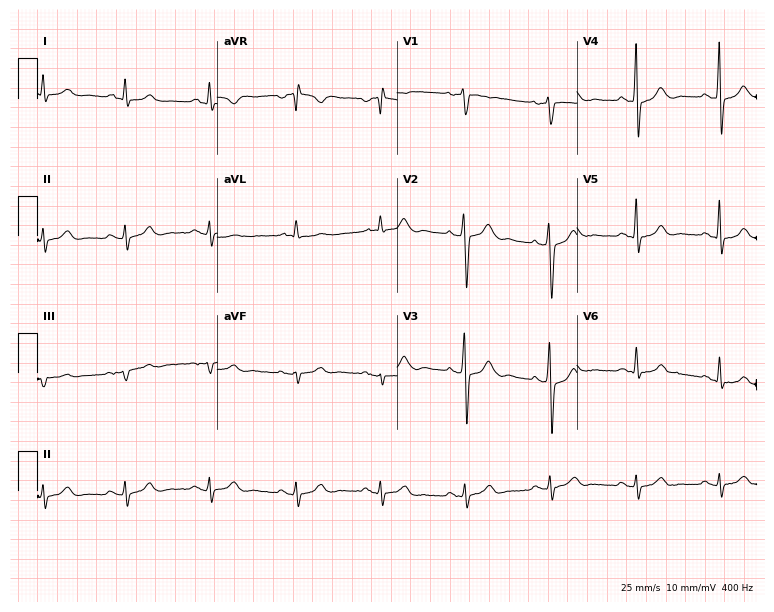
ECG (7.3-second recording at 400 Hz) — a man, 52 years old. Screened for six findings — first-degree AV block, right bundle branch block, left bundle branch block, sinus bradycardia, atrial fibrillation, sinus tachycardia — none is recorded.